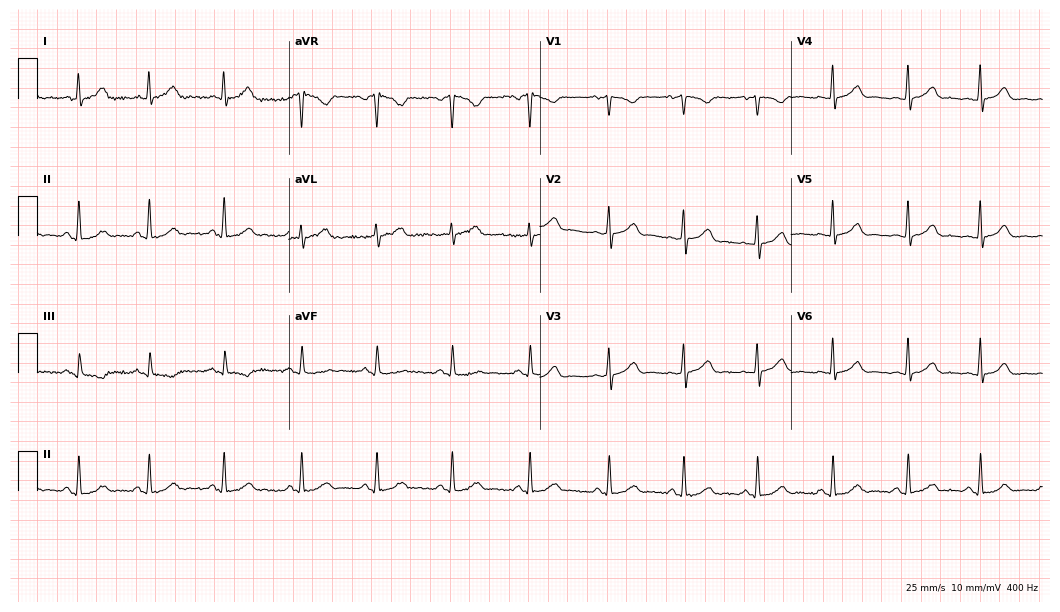
Standard 12-lead ECG recorded from a female patient, 45 years old. Read as a normal ECG.